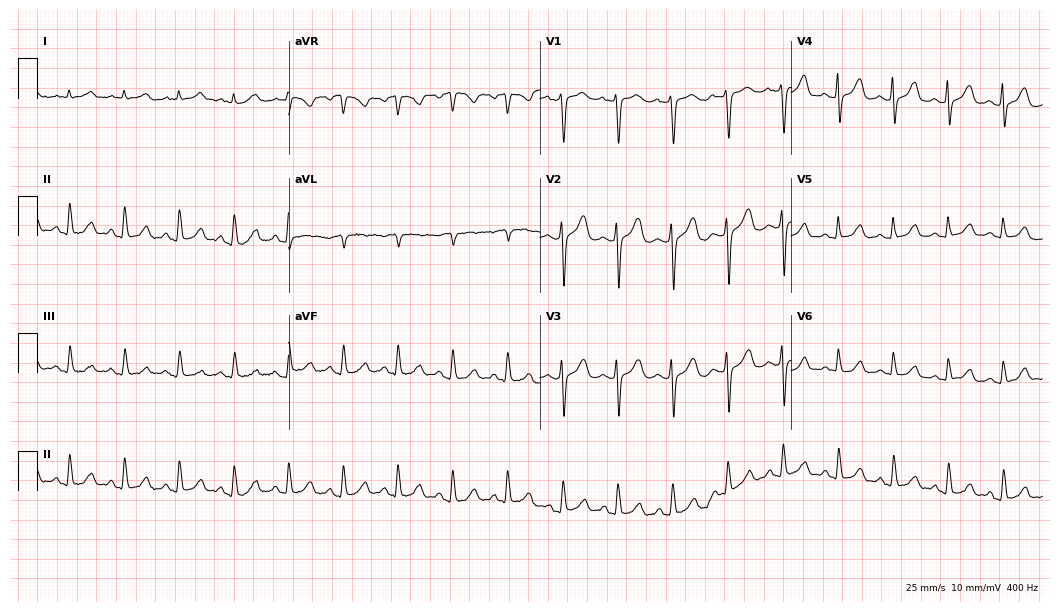
ECG (10.2-second recording at 400 Hz) — a female, 41 years old. Findings include sinus tachycardia (a sinus rate of 100 beats per minute or more).